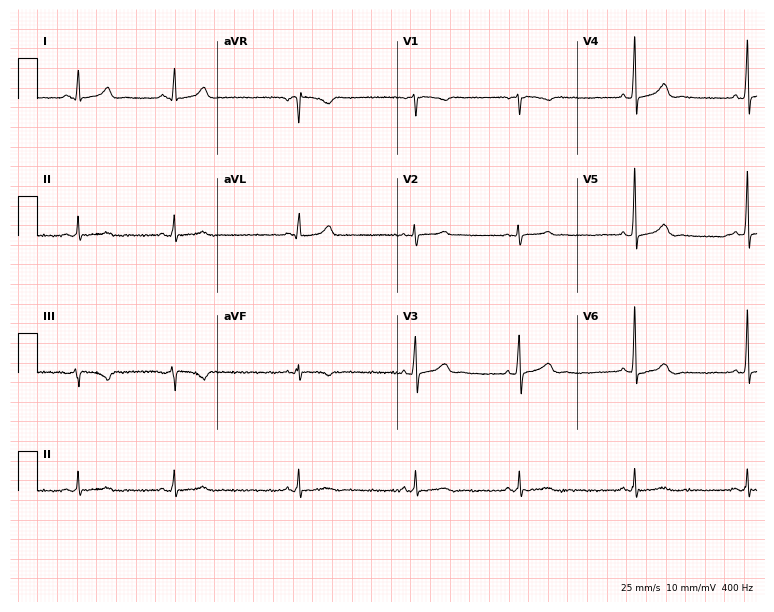
Electrocardiogram, a female patient, 33 years old. Of the six screened findings (first-degree AV block, right bundle branch block, left bundle branch block, sinus bradycardia, atrial fibrillation, sinus tachycardia), none is recorded. Other findings, if any, are not listed.